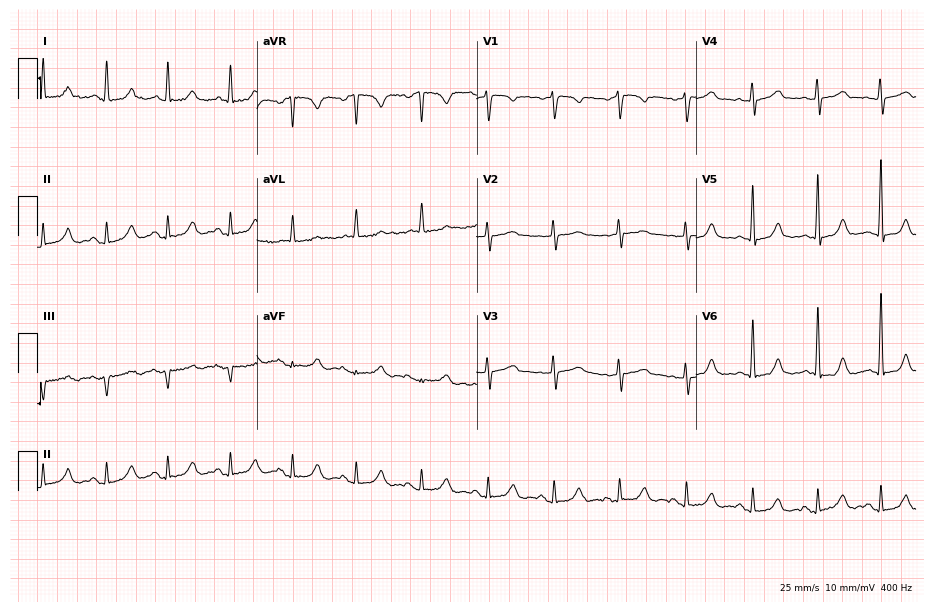
Electrocardiogram, a 58-year-old female. Overall reading on record: normal ECG.